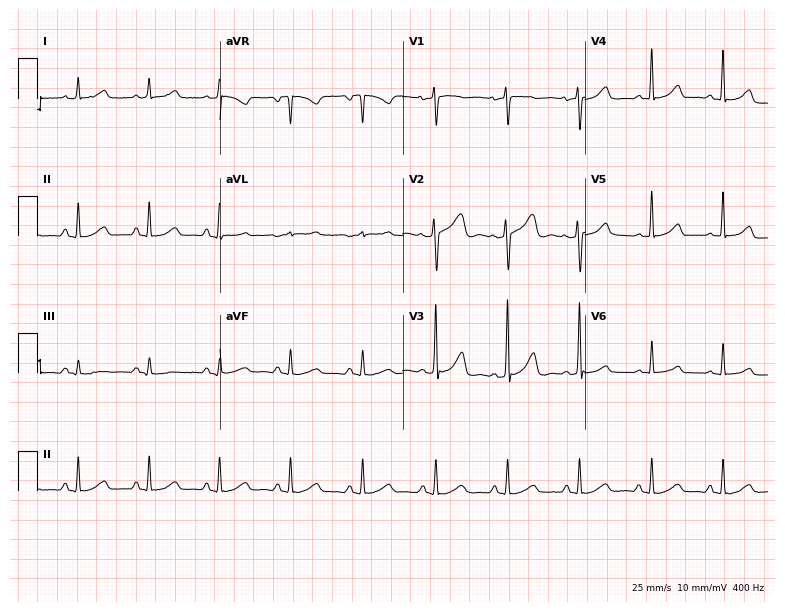
ECG — a 42-year-old woman. Screened for six findings — first-degree AV block, right bundle branch block (RBBB), left bundle branch block (LBBB), sinus bradycardia, atrial fibrillation (AF), sinus tachycardia — none is recorded. Other findings, if any, are not listed.